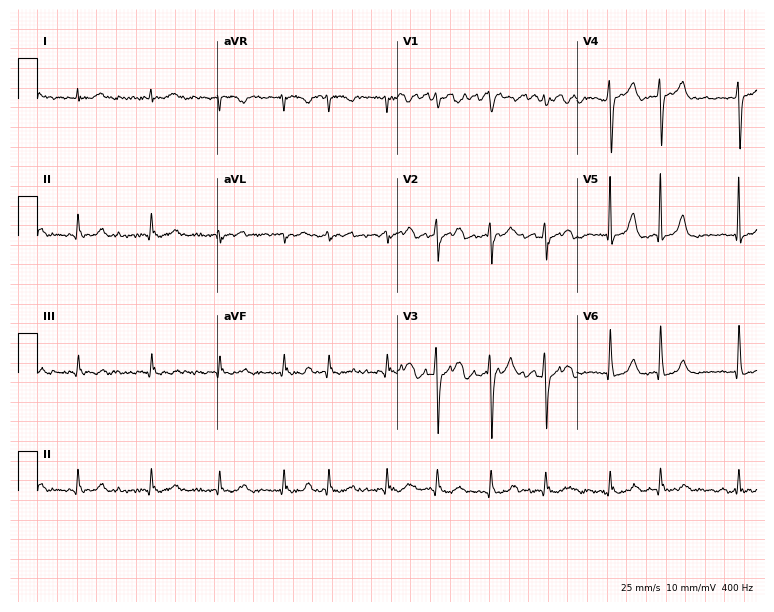
ECG — an 81-year-old woman. Findings include atrial fibrillation.